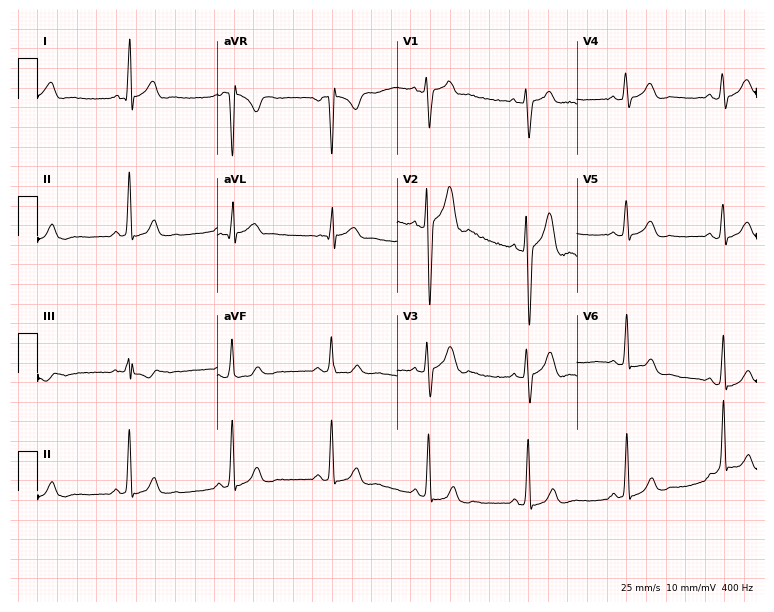
Resting 12-lead electrocardiogram (7.3-second recording at 400 Hz). Patient: a 22-year-old male. None of these six findings is recorded: first-degree AV block, right bundle branch block (RBBB), left bundle branch block (LBBB), sinus bradycardia, atrial fibrillation (AF), sinus tachycardia.